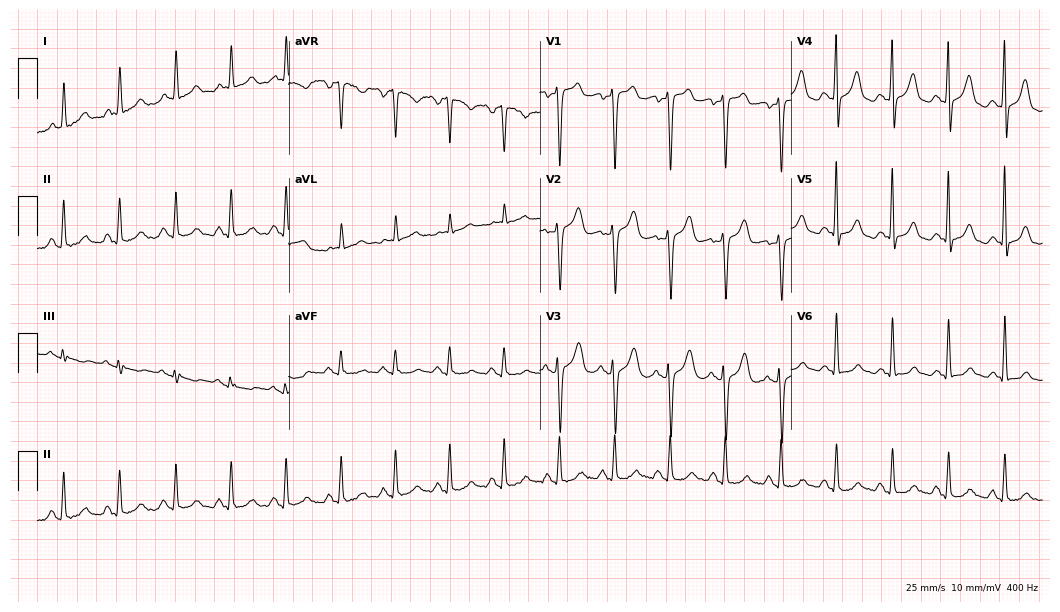
12-lead ECG from a 57-year-old woman (10.2-second recording at 400 Hz). Shows sinus tachycardia (a sinus rate of 100 beats per minute or more).